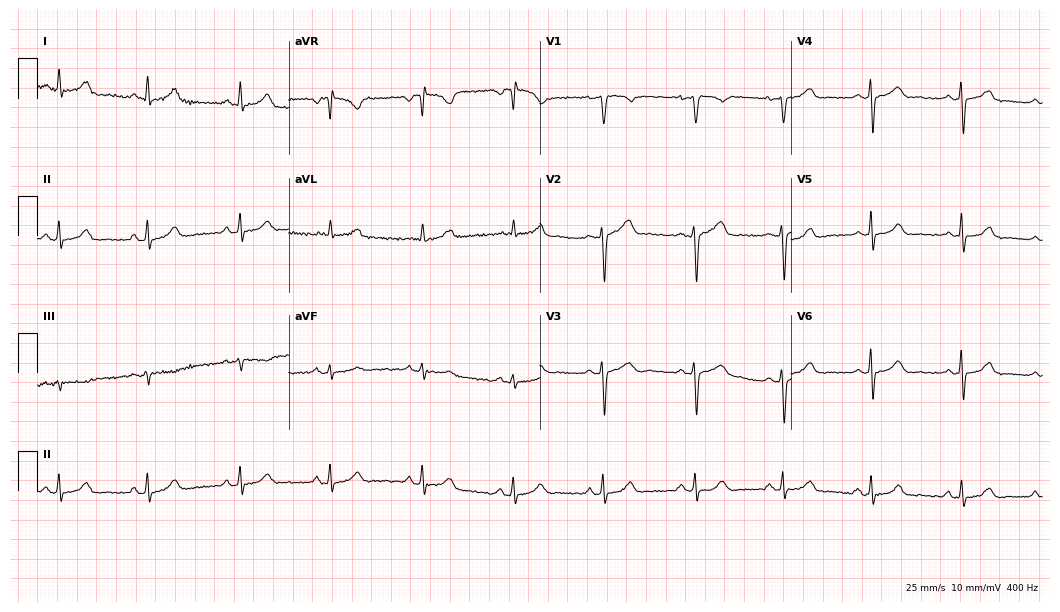
Electrocardiogram, a woman, 33 years old. Overall reading on record: normal ECG.